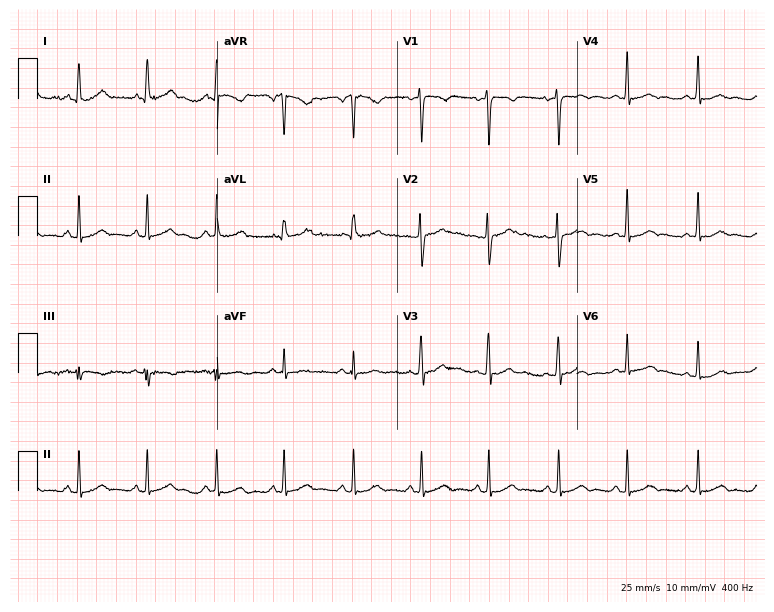
Resting 12-lead electrocardiogram (7.3-second recording at 400 Hz). Patient: a 43-year-old female. None of these six findings is recorded: first-degree AV block, right bundle branch block, left bundle branch block, sinus bradycardia, atrial fibrillation, sinus tachycardia. Other findings, if any, are not listed.